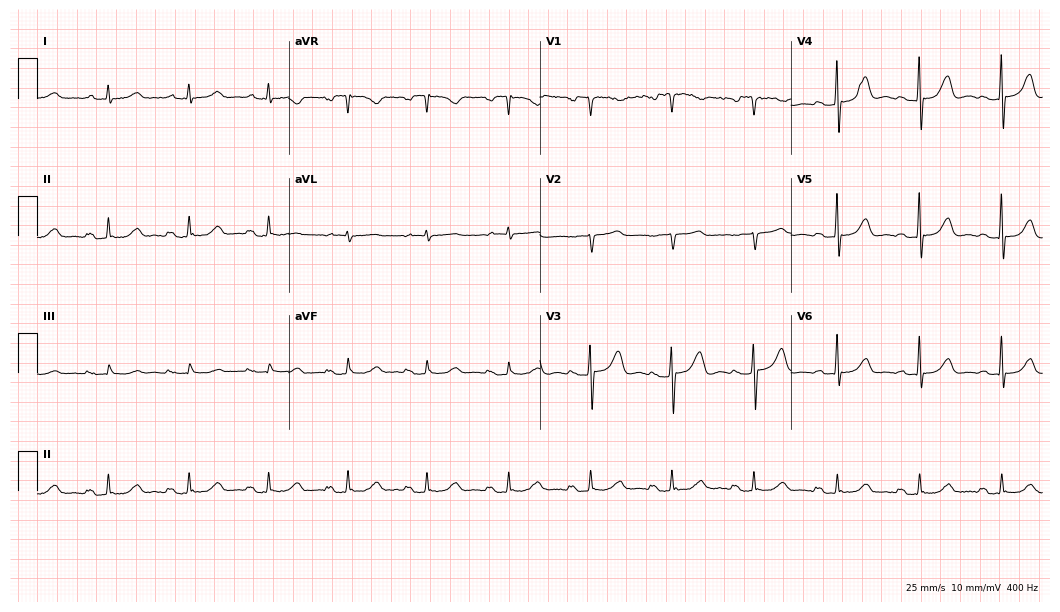
ECG (10.2-second recording at 400 Hz) — a woman, 78 years old. Findings include first-degree AV block.